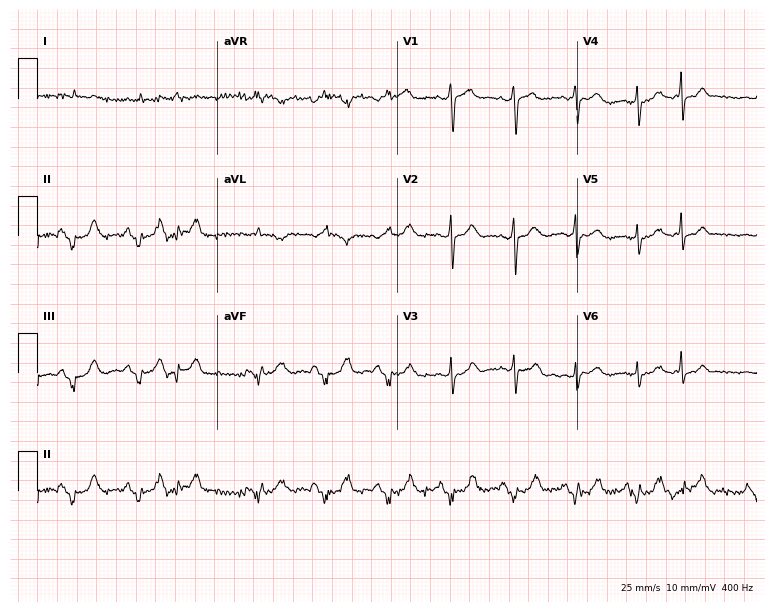
Standard 12-lead ECG recorded from a man, 54 years old. None of these six findings is recorded: first-degree AV block, right bundle branch block, left bundle branch block, sinus bradycardia, atrial fibrillation, sinus tachycardia.